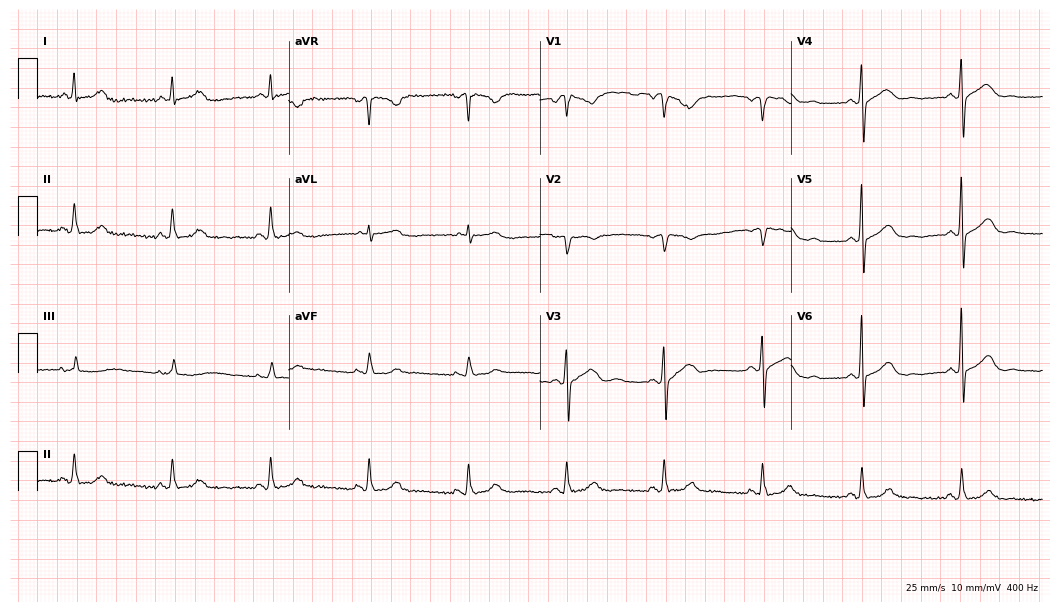
12-lead ECG from a 76-year-old female patient. Recorded interpretation: within normal limits.